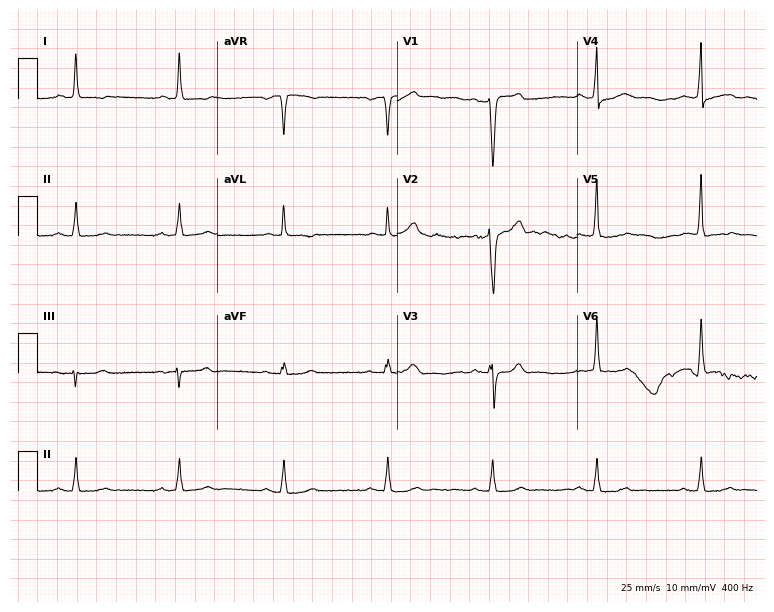
ECG (7.3-second recording at 400 Hz) — a 67-year-old male patient. Screened for six findings — first-degree AV block, right bundle branch block (RBBB), left bundle branch block (LBBB), sinus bradycardia, atrial fibrillation (AF), sinus tachycardia — none is recorded.